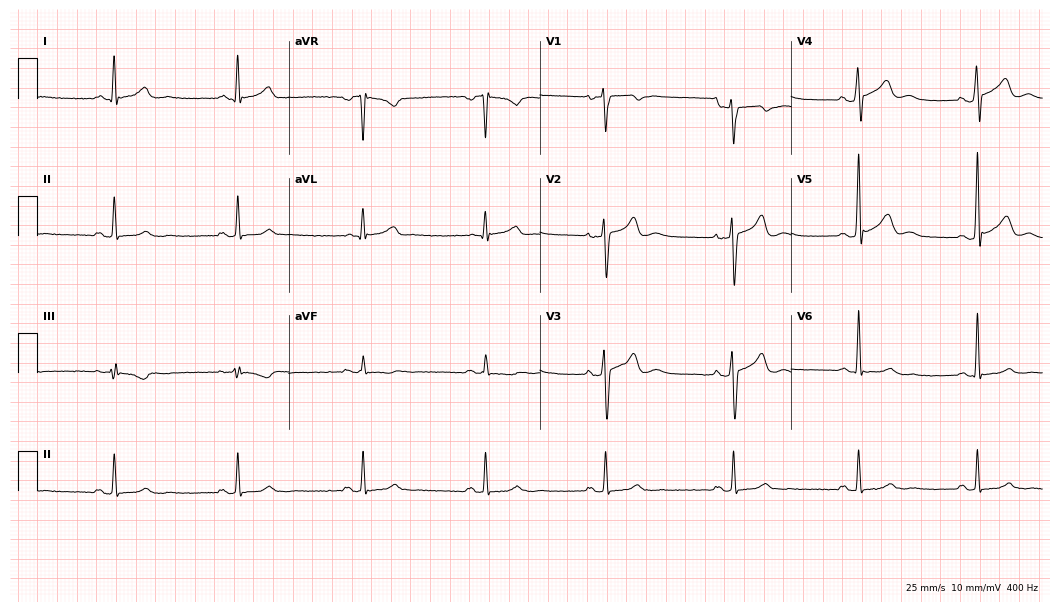
ECG (10.2-second recording at 400 Hz) — a 40-year-old male. Findings include sinus bradycardia (a sinus rate of 50 beats per minute or less).